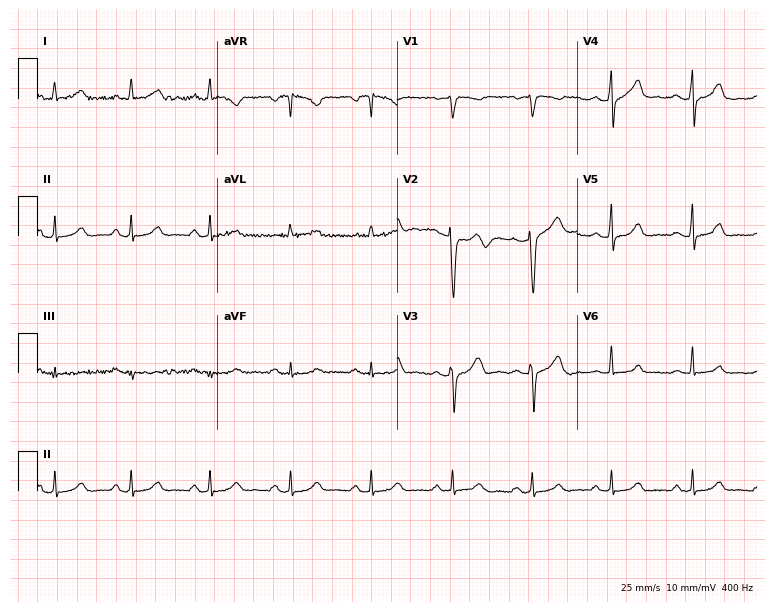
12-lead ECG from a female patient, 47 years old. Screened for six findings — first-degree AV block, right bundle branch block (RBBB), left bundle branch block (LBBB), sinus bradycardia, atrial fibrillation (AF), sinus tachycardia — none is recorded. Only these six findings were labelled.